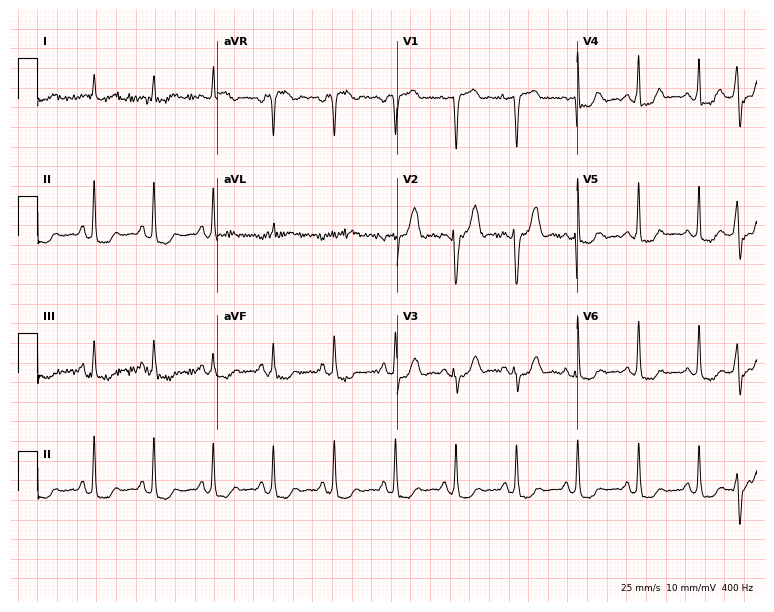
12-lead ECG (7.3-second recording at 400 Hz) from an 80-year-old female. Screened for six findings — first-degree AV block, right bundle branch block, left bundle branch block, sinus bradycardia, atrial fibrillation, sinus tachycardia — none is recorded.